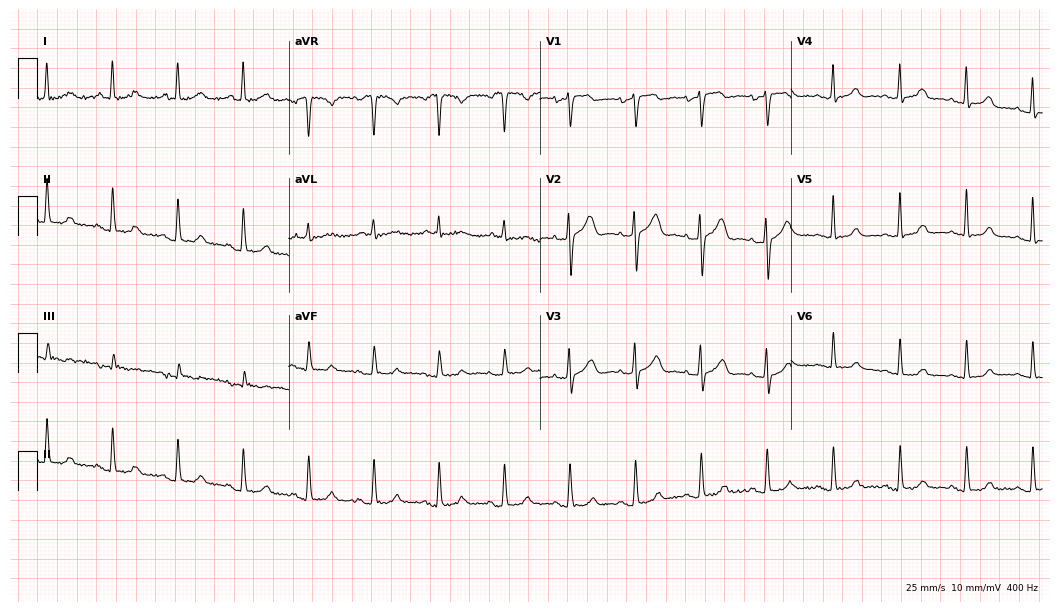
Standard 12-lead ECG recorded from a 73-year-old woman (10.2-second recording at 400 Hz). Read as a normal ECG.